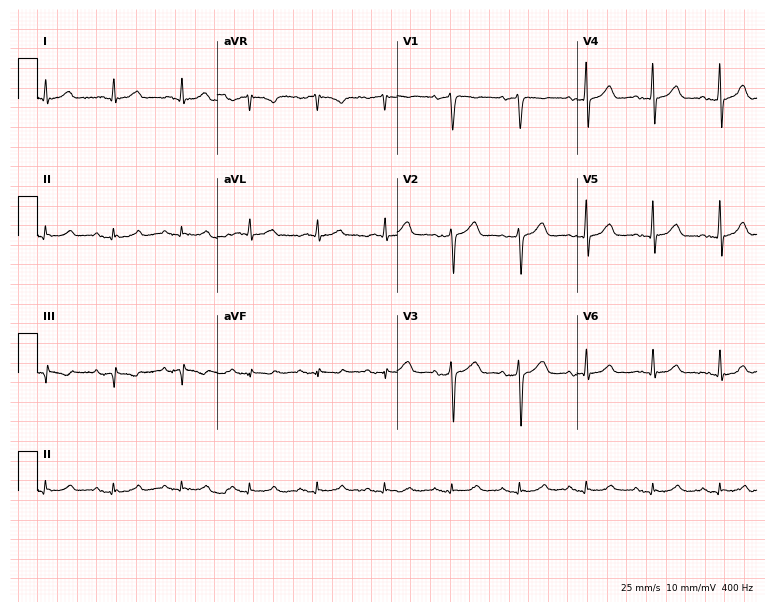
12-lead ECG from a man, 75 years old (7.3-second recording at 400 Hz). Recorded interpretation: within normal limits.